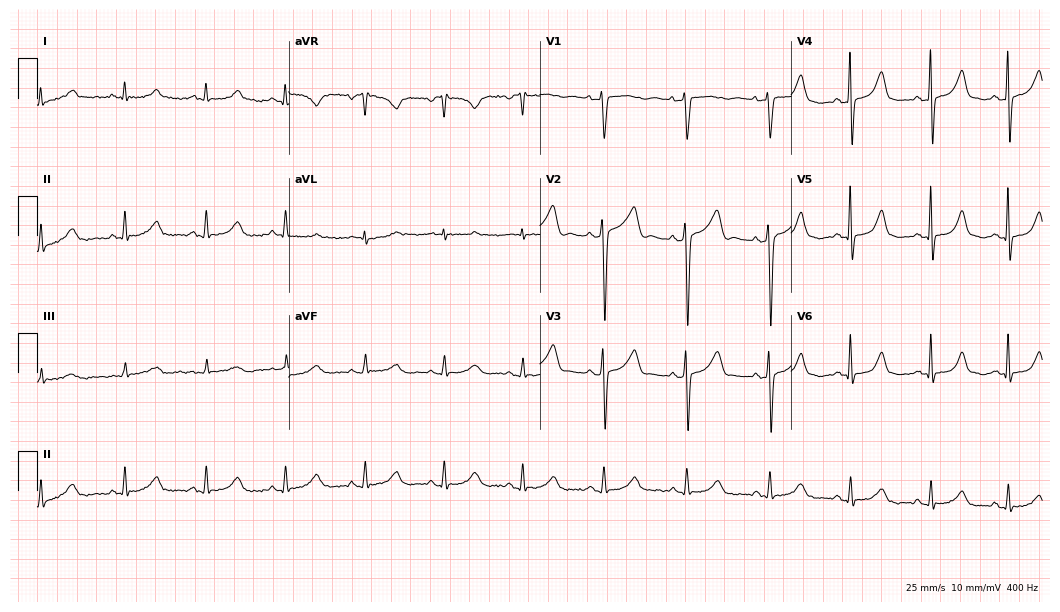
Electrocardiogram, a man, 53 years old. Overall reading on record: normal ECG.